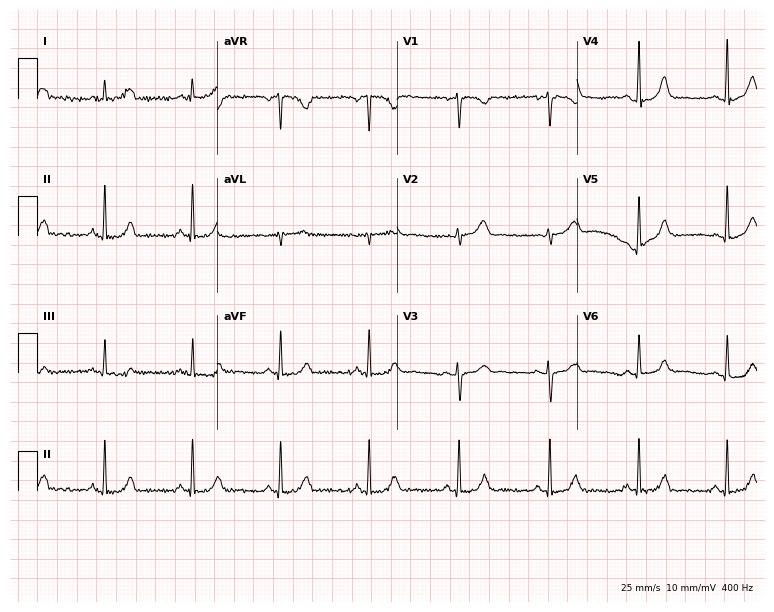
ECG (7.3-second recording at 400 Hz) — a 37-year-old female. Labelled as a normal ECG.